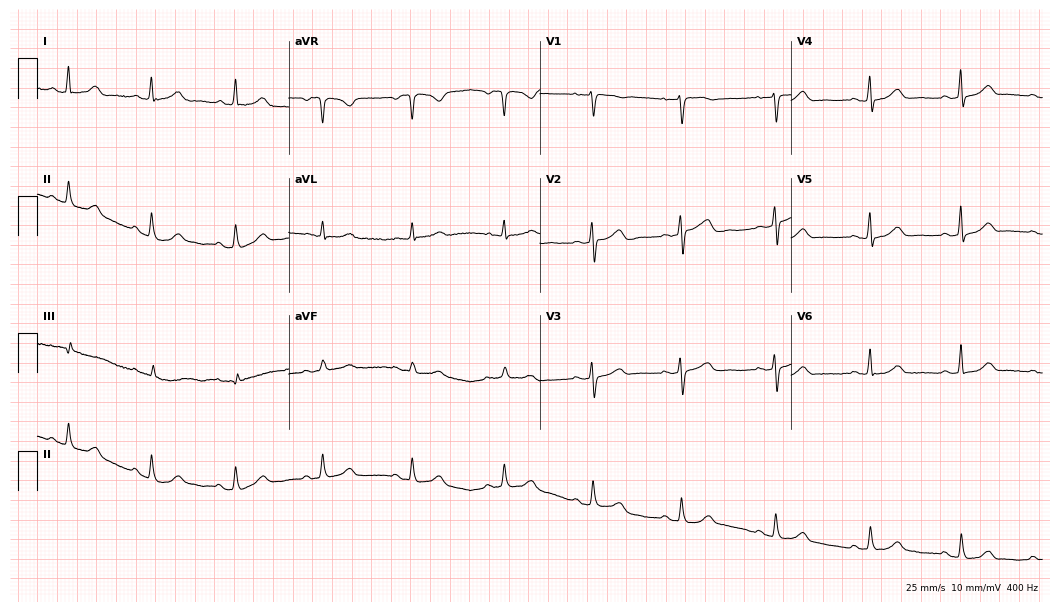
Resting 12-lead electrocardiogram. Patient: a 57-year-old female. Read as a normal ECG.